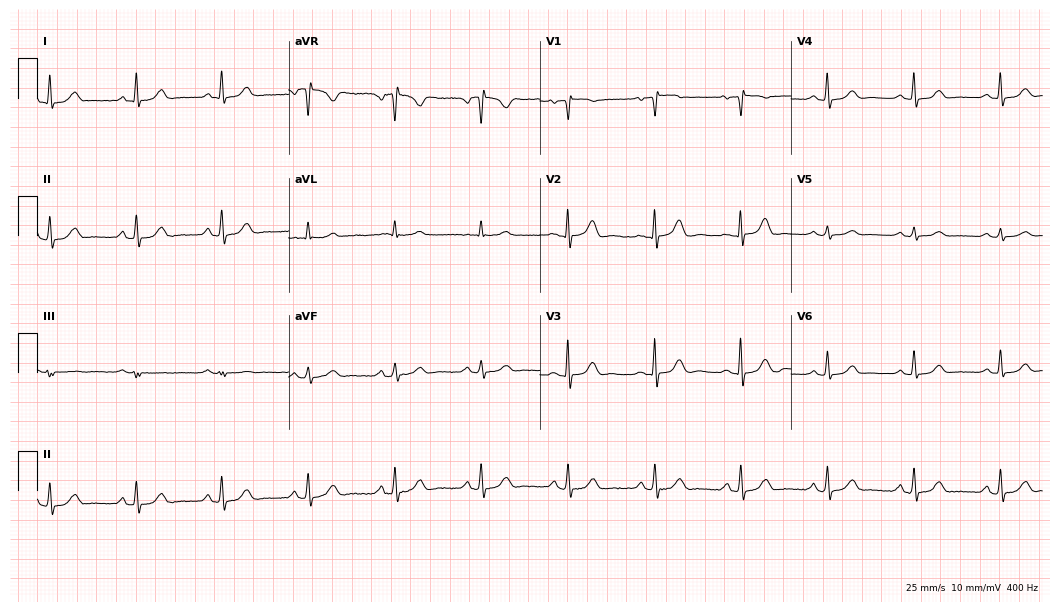
12-lead ECG from a female patient, 74 years old. Recorded interpretation: within normal limits.